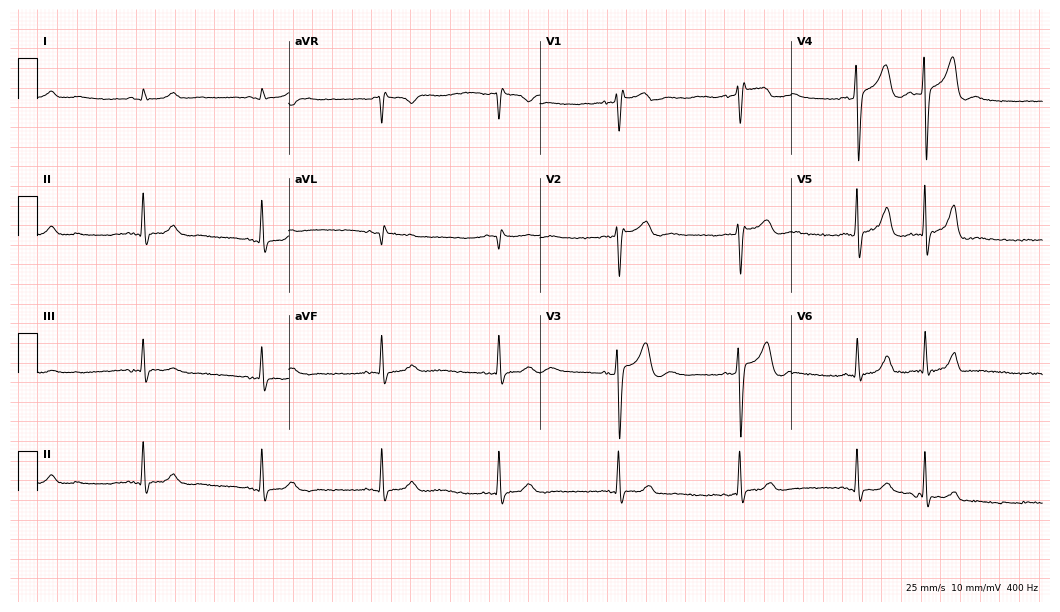
Electrocardiogram (10.2-second recording at 400 Hz), a male, 83 years old. Of the six screened findings (first-degree AV block, right bundle branch block, left bundle branch block, sinus bradycardia, atrial fibrillation, sinus tachycardia), none is recorded. Findings outside these six are not listed.